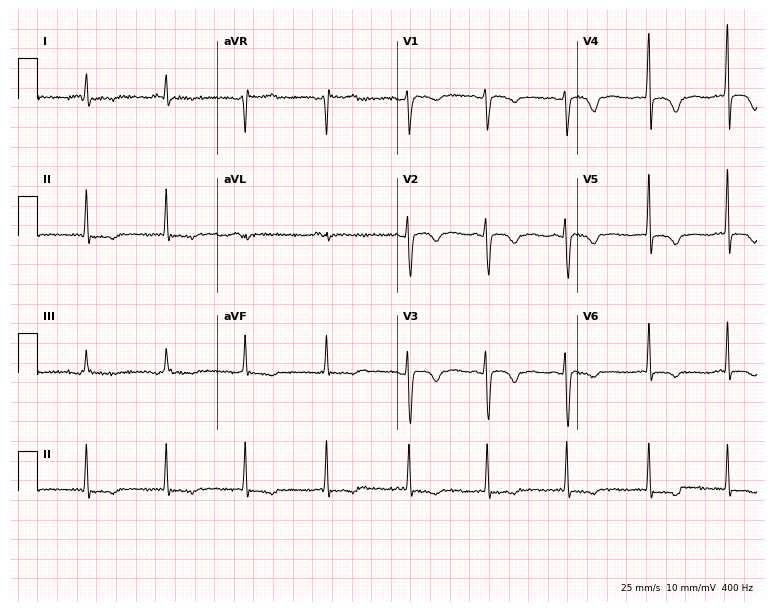
Electrocardiogram, a 44-year-old woman. Of the six screened findings (first-degree AV block, right bundle branch block (RBBB), left bundle branch block (LBBB), sinus bradycardia, atrial fibrillation (AF), sinus tachycardia), none is recorded.